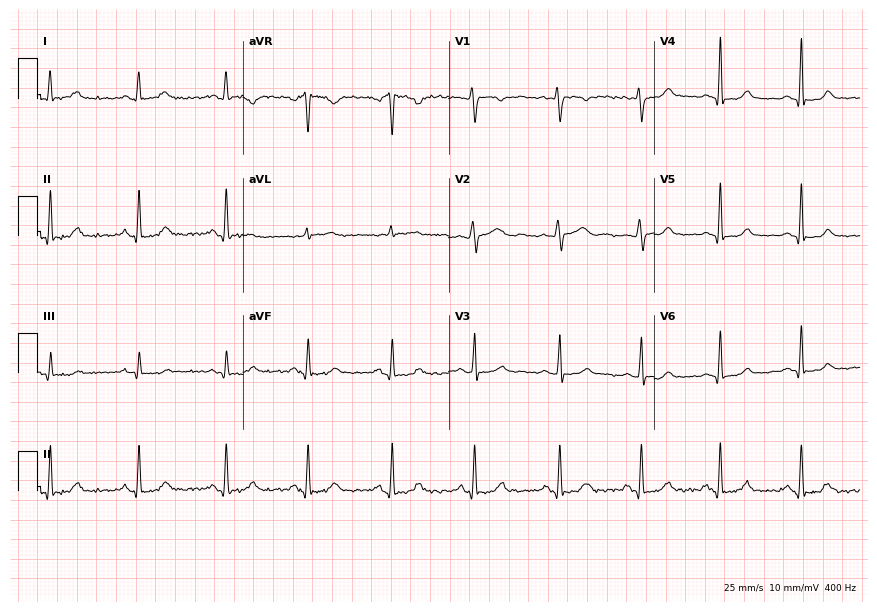
Resting 12-lead electrocardiogram. Patient: a 46-year-old female. None of these six findings is recorded: first-degree AV block, right bundle branch block, left bundle branch block, sinus bradycardia, atrial fibrillation, sinus tachycardia. Findings outside these six are not listed.